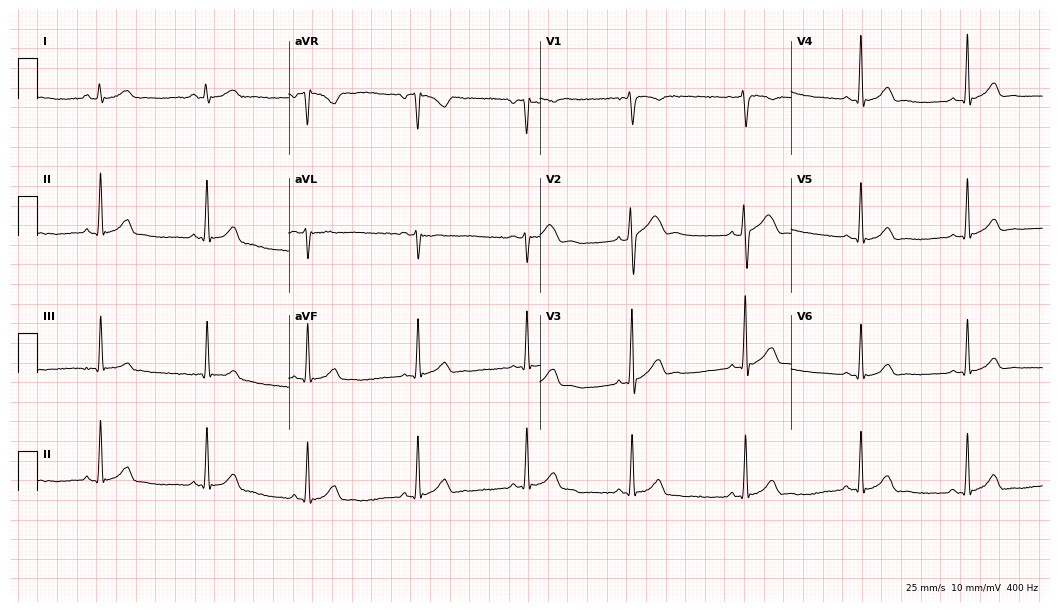
12-lead ECG from a male, 28 years old (10.2-second recording at 400 Hz). Recorded interpretation: within normal limits.